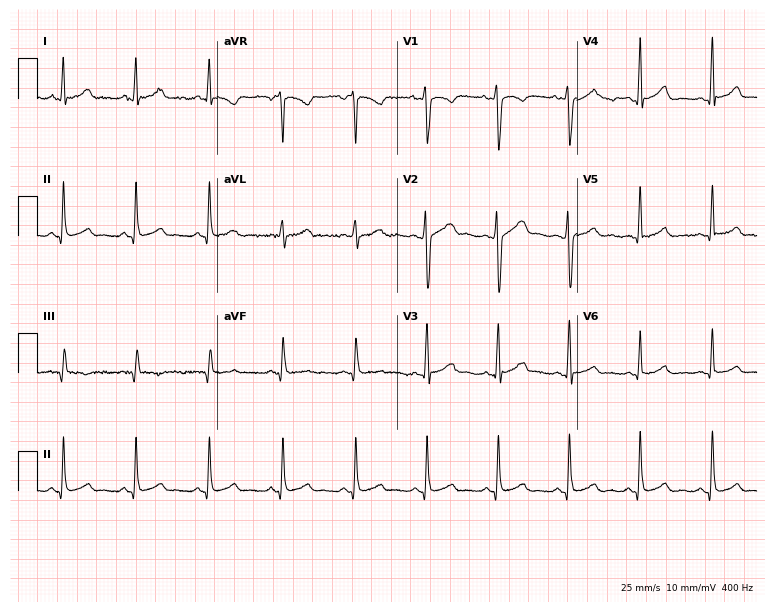
Standard 12-lead ECG recorded from a 25-year-old woman (7.3-second recording at 400 Hz). Read as a normal ECG.